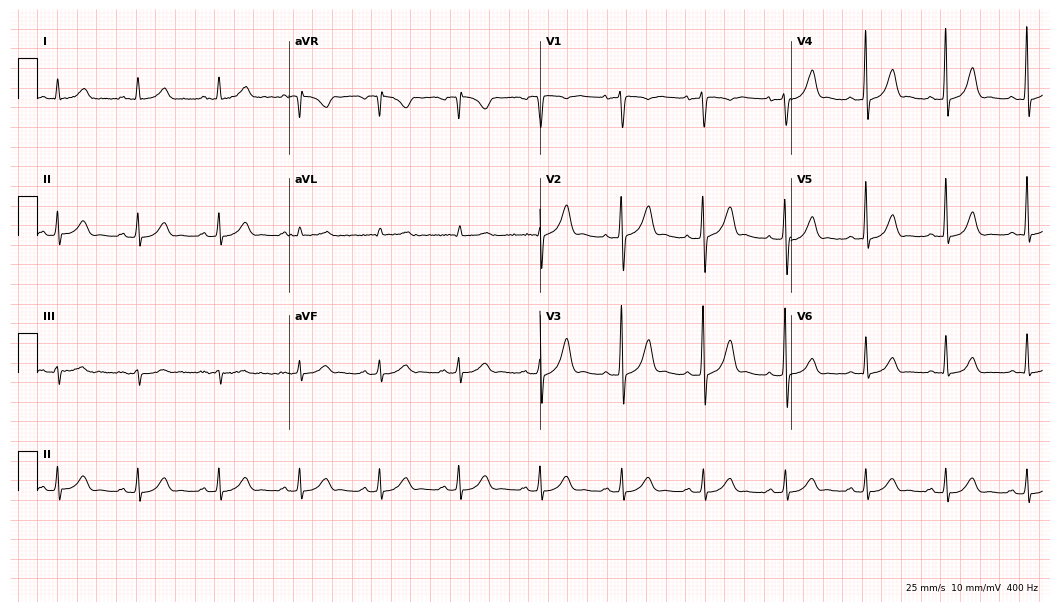
12-lead ECG (10.2-second recording at 400 Hz) from a 57-year-old male. Labelled as a normal ECG.